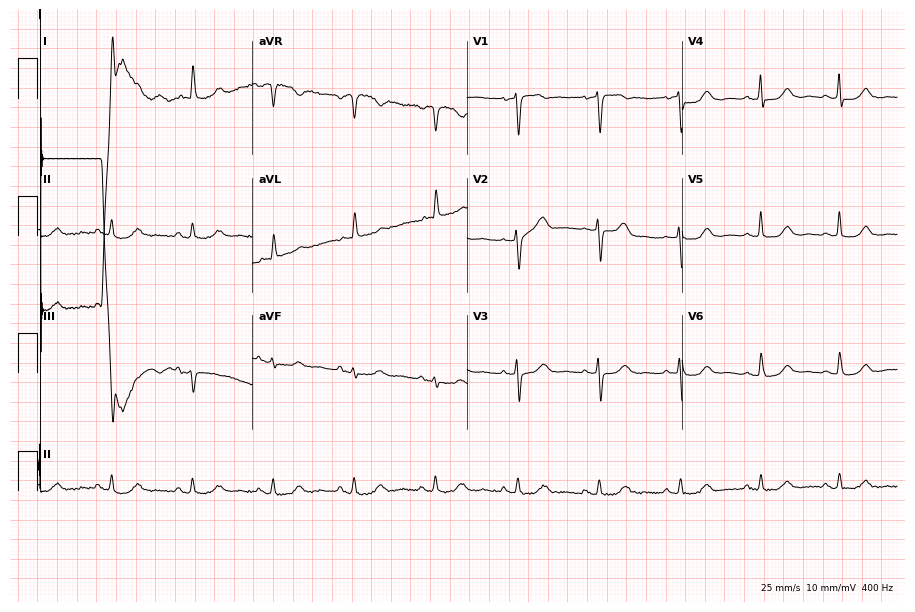
12-lead ECG (8.8-second recording at 400 Hz) from a female patient, 68 years old. Screened for six findings — first-degree AV block, right bundle branch block, left bundle branch block, sinus bradycardia, atrial fibrillation, sinus tachycardia — none is recorded.